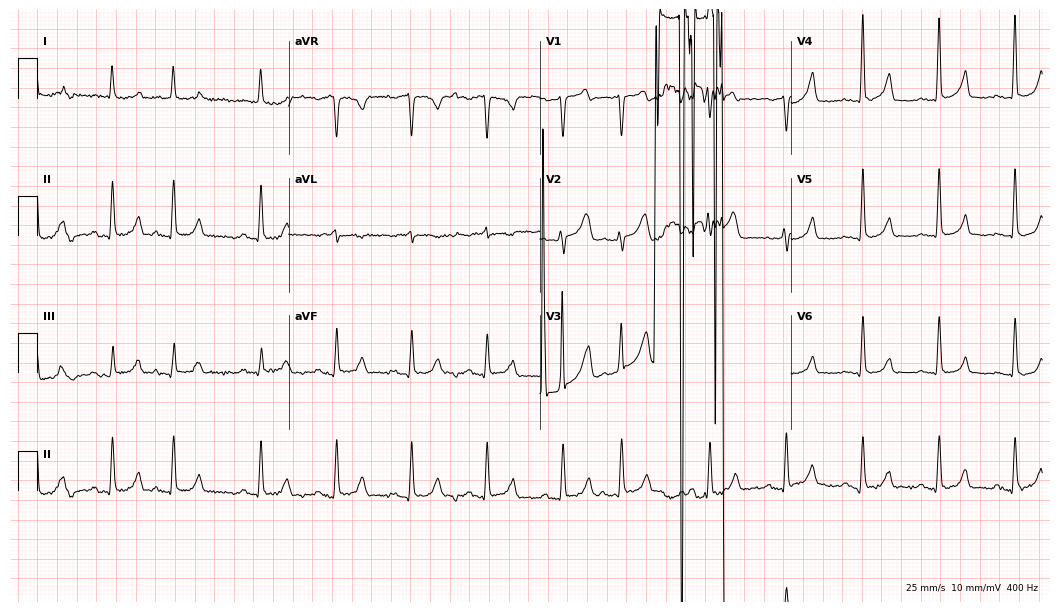
Electrocardiogram, a woman, 73 years old. Of the six screened findings (first-degree AV block, right bundle branch block, left bundle branch block, sinus bradycardia, atrial fibrillation, sinus tachycardia), none is recorded.